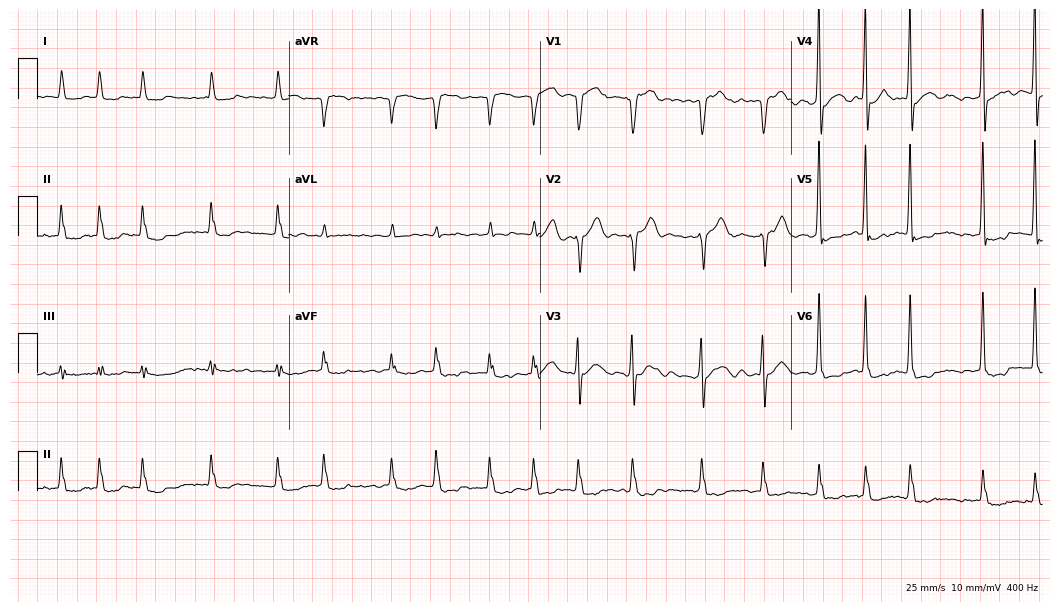
12-lead ECG from a 67-year-old male patient. Shows atrial fibrillation.